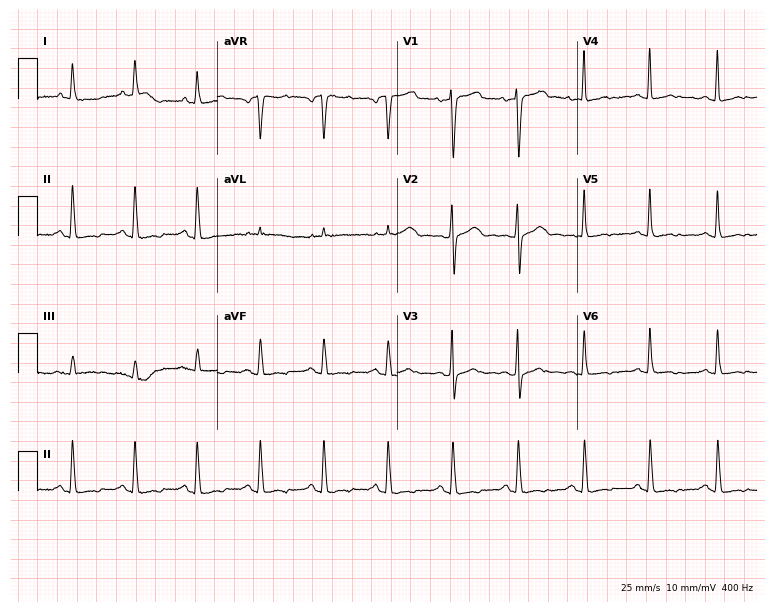
Electrocardiogram, a 59-year-old woman. Of the six screened findings (first-degree AV block, right bundle branch block (RBBB), left bundle branch block (LBBB), sinus bradycardia, atrial fibrillation (AF), sinus tachycardia), none is recorded.